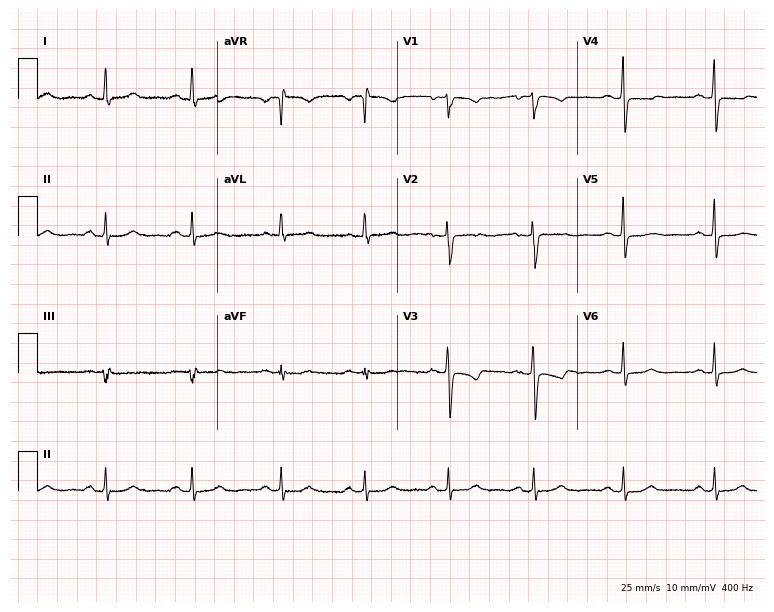
Standard 12-lead ECG recorded from a 54-year-old female (7.3-second recording at 400 Hz). None of these six findings is recorded: first-degree AV block, right bundle branch block (RBBB), left bundle branch block (LBBB), sinus bradycardia, atrial fibrillation (AF), sinus tachycardia.